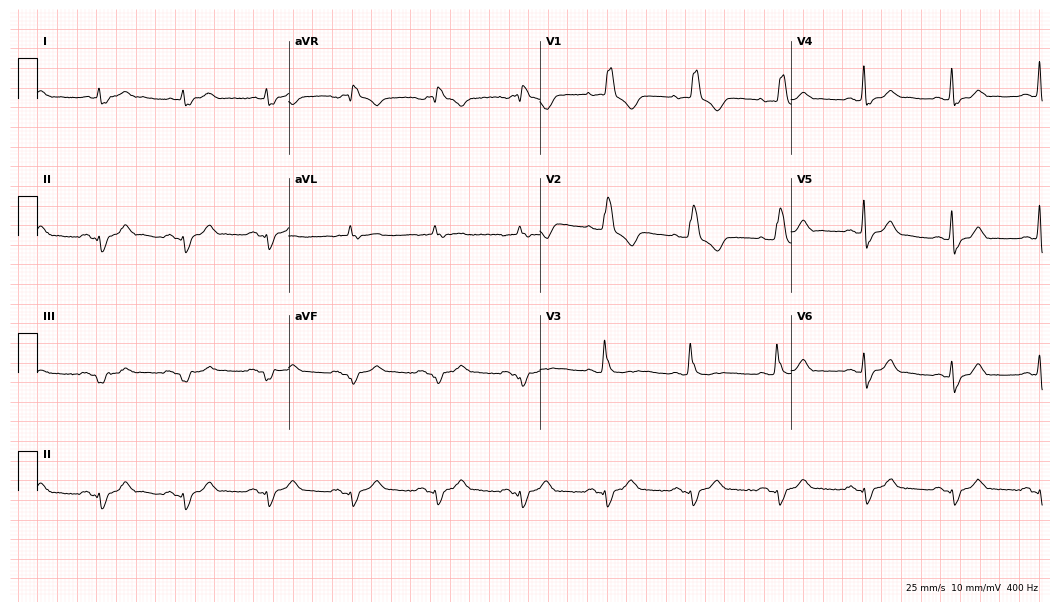
12-lead ECG from a 70-year-old male patient. Findings include right bundle branch block (RBBB).